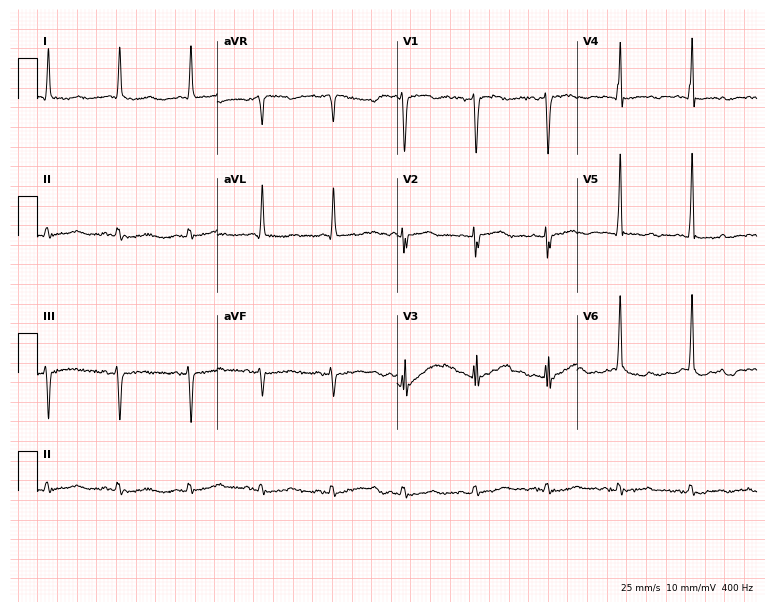
ECG — a 76-year-old male. Screened for six findings — first-degree AV block, right bundle branch block (RBBB), left bundle branch block (LBBB), sinus bradycardia, atrial fibrillation (AF), sinus tachycardia — none is recorded.